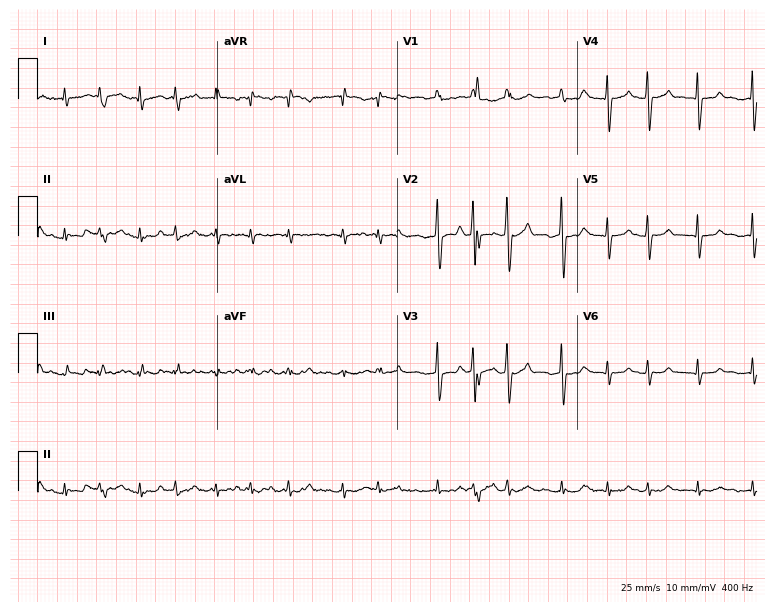
12-lead ECG from a 64-year-old male. Findings include atrial fibrillation.